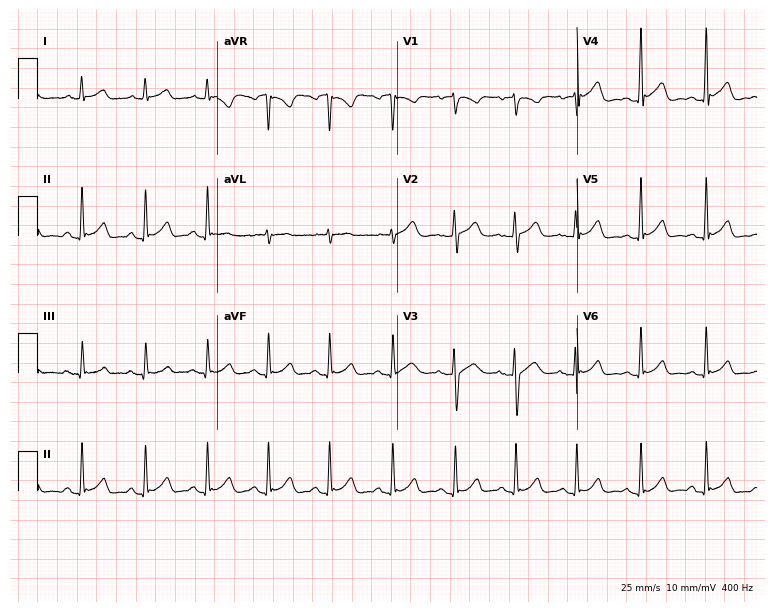
ECG (7.3-second recording at 400 Hz) — a 28-year-old female patient. Labelled as a normal ECG.